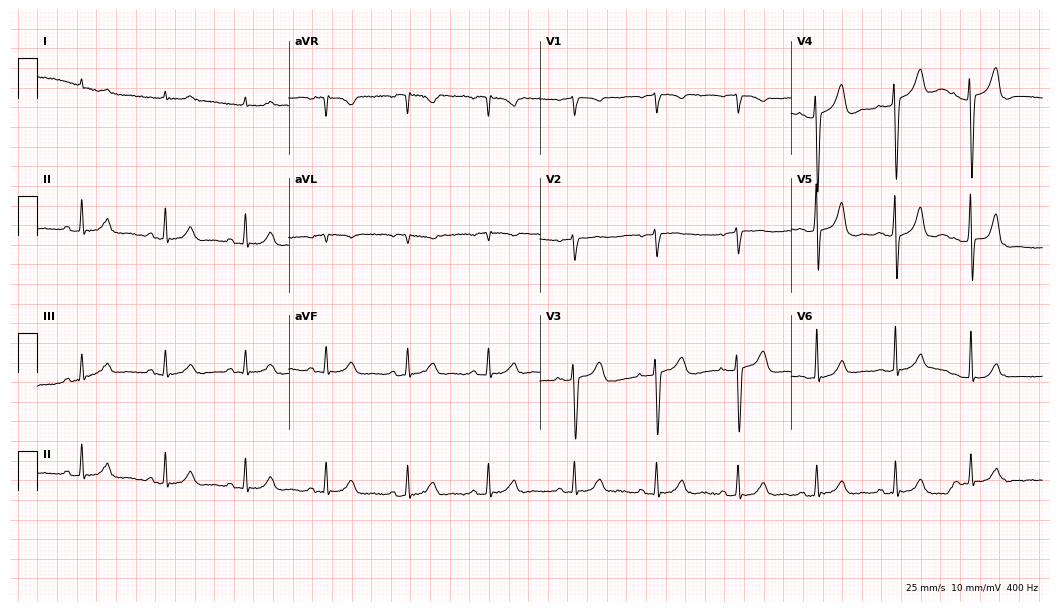
Electrocardiogram, an 85-year-old male patient. Of the six screened findings (first-degree AV block, right bundle branch block, left bundle branch block, sinus bradycardia, atrial fibrillation, sinus tachycardia), none is recorded.